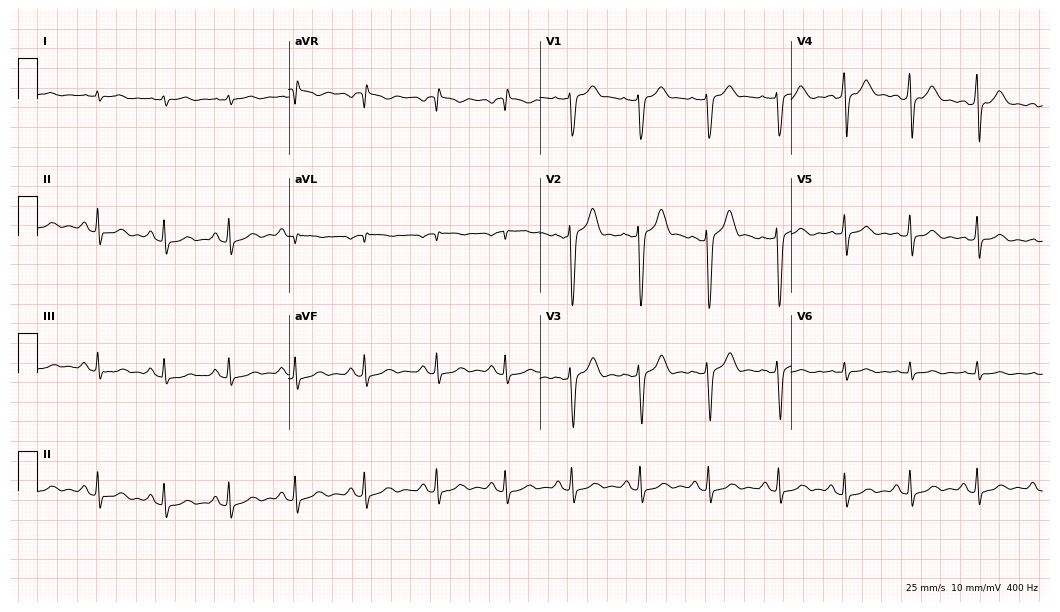
Resting 12-lead electrocardiogram. Patient: a 32-year-old male. Read as a normal ECG.